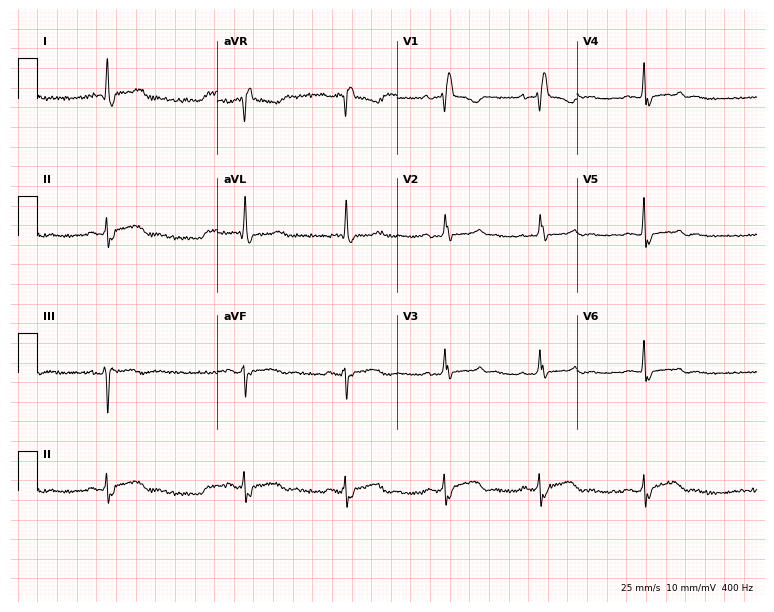
Standard 12-lead ECG recorded from a 58-year-old female patient. The tracing shows right bundle branch block.